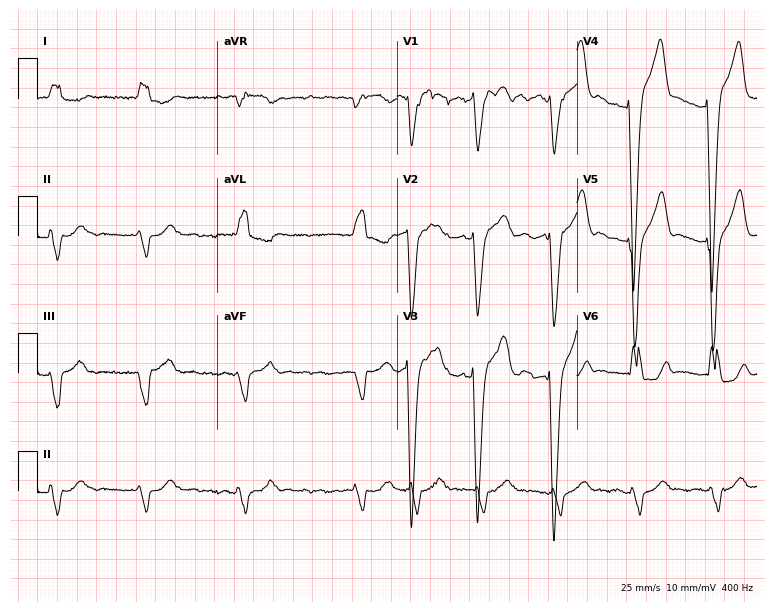
Resting 12-lead electrocardiogram. Patient: a 74-year-old man. The tracing shows left bundle branch block, atrial fibrillation.